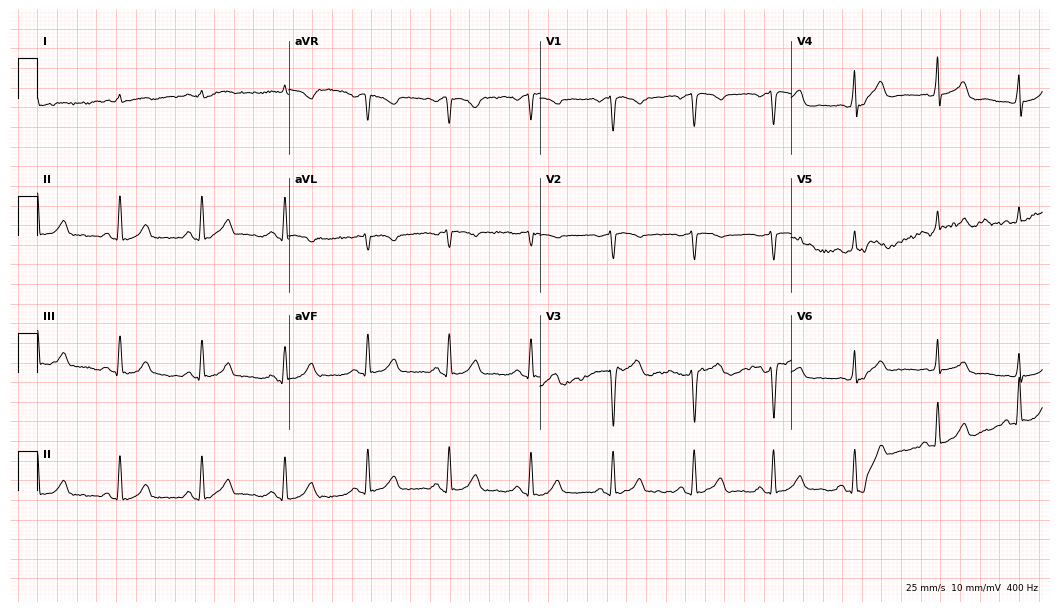
Electrocardiogram, a male patient, 70 years old. Of the six screened findings (first-degree AV block, right bundle branch block (RBBB), left bundle branch block (LBBB), sinus bradycardia, atrial fibrillation (AF), sinus tachycardia), none is recorded.